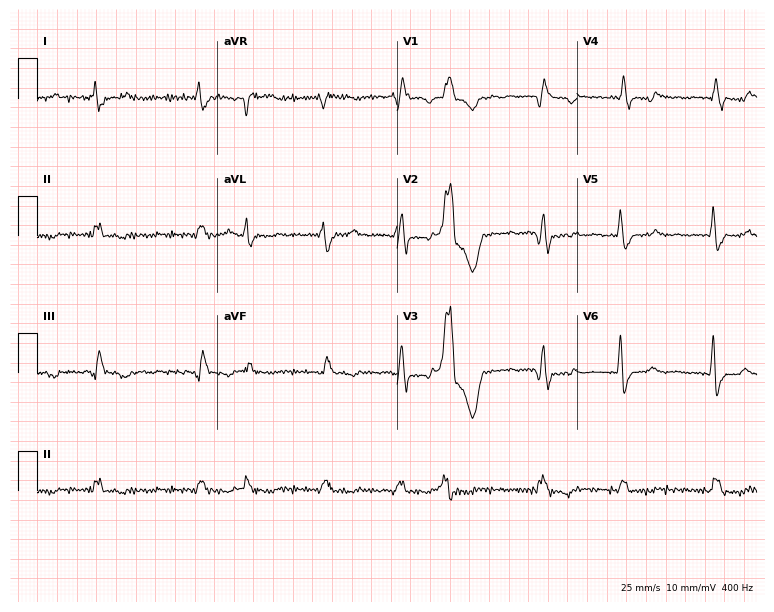
Resting 12-lead electrocardiogram (7.3-second recording at 400 Hz). Patient: a 78-year-old male. The tracing shows right bundle branch block, atrial fibrillation.